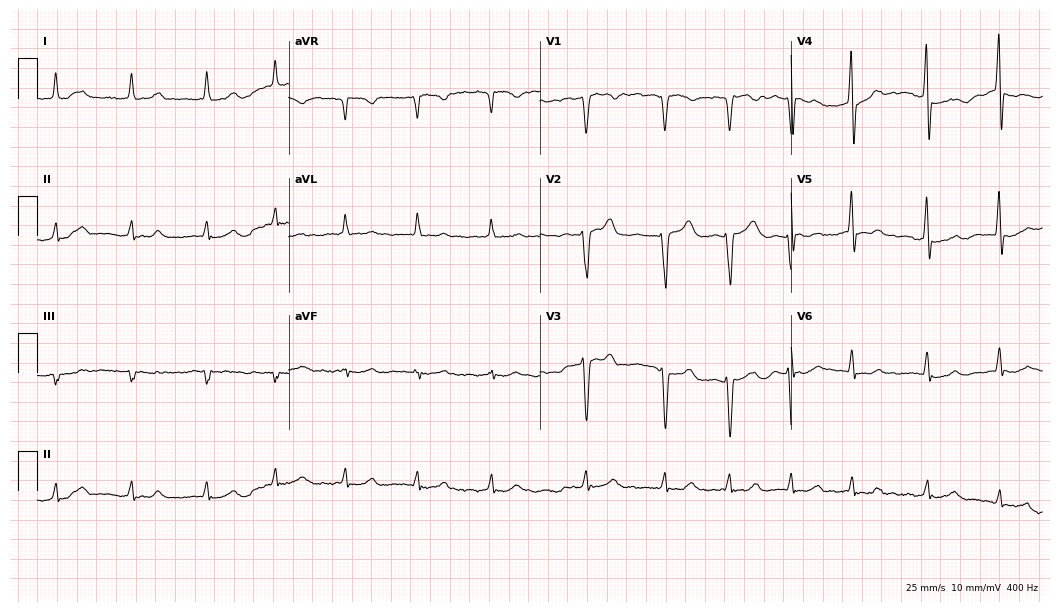
12-lead ECG from a man, 77 years old. No first-degree AV block, right bundle branch block, left bundle branch block, sinus bradycardia, atrial fibrillation or sinus tachycardia recorded for this tracing. Other findings, if any, are not listed.